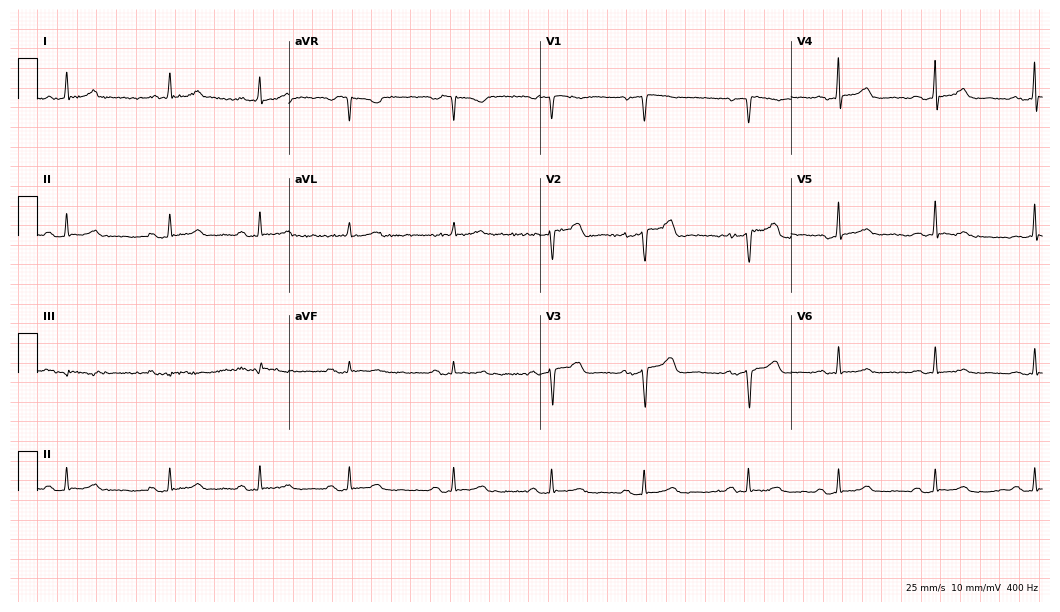
ECG — a 62-year-old female. Screened for six findings — first-degree AV block, right bundle branch block, left bundle branch block, sinus bradycardia, atrial fibrillation, sinus tachycardia — none is recorded. Only these six findings were labelled.